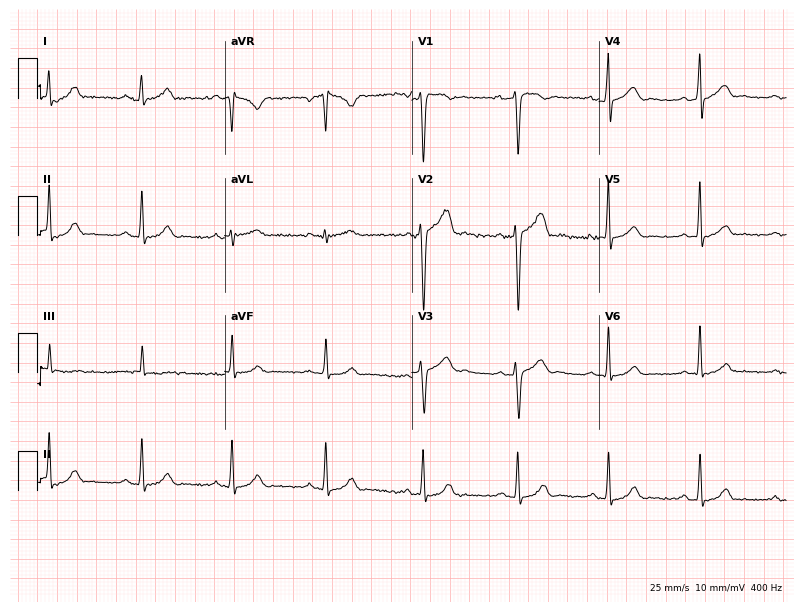
Electrocardiogram (7.6-second recording at 400 Hz), a 25-year-old man. Overall reading on record: normal ECG.